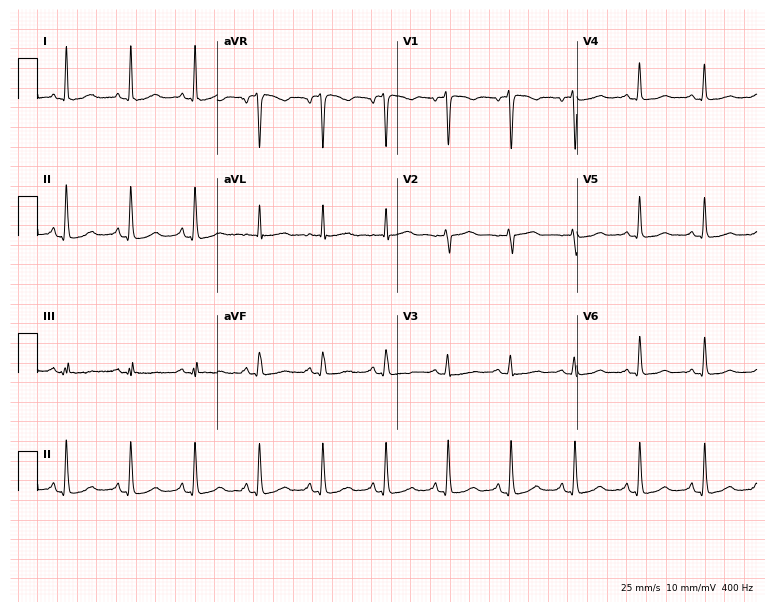
ECG (7.3-second recording at 400 Hz) — a woman, 56 years old. Screened for six findings — first-degree AV block, right bundle branch block, left bundle branch block, sinus bradycardia, atrial fibrillation, sinus tachycardia — none is recorded. Other findings, if any, are not listed.